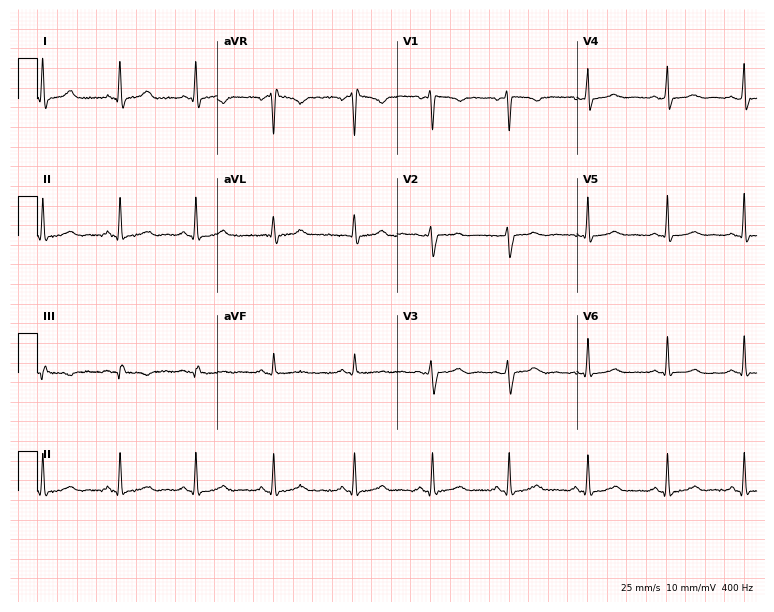
Standard 12-lead ECG recorded from a 39-year-old female patient. None of these six findings is recorded: first-degree AV block, right bundle branch block (RBBB), left bundle branch block (LBBB), sinus bradycardia, atrial fibrillation (AF), sinus tachycardia. Other findings, if any, are not listed.